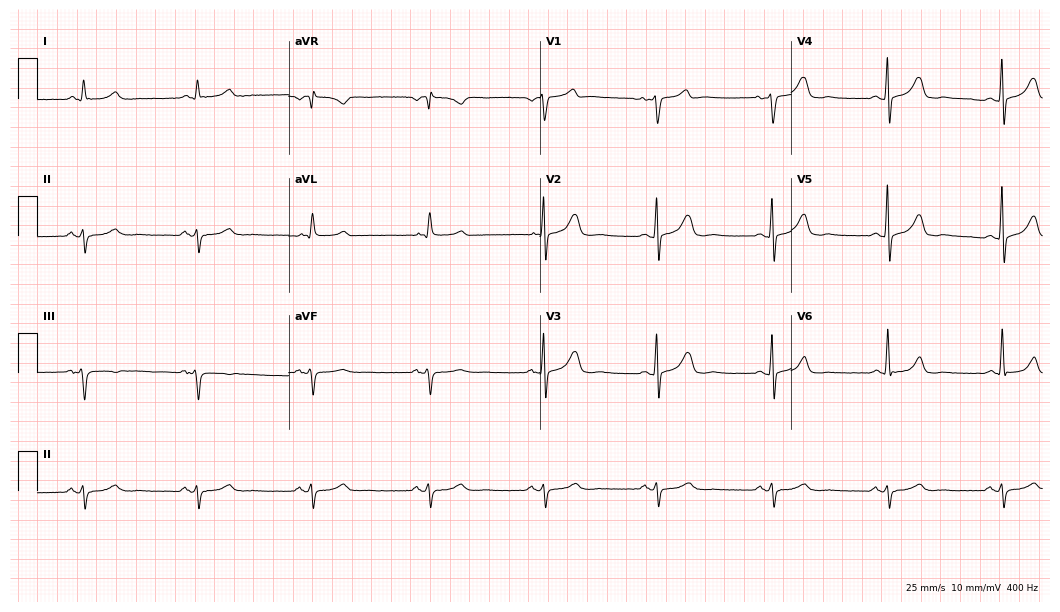
ECG (10.2-second recording at 400 Hz) — a 64-year-old male patient. Screened for six findings — first-degree AV block, right bundle branch block (RBBB), left bundle branch block (LBBB), sinus bradycardia, atrial fibrillation (AF), sinus tachycardia — none is recorded.